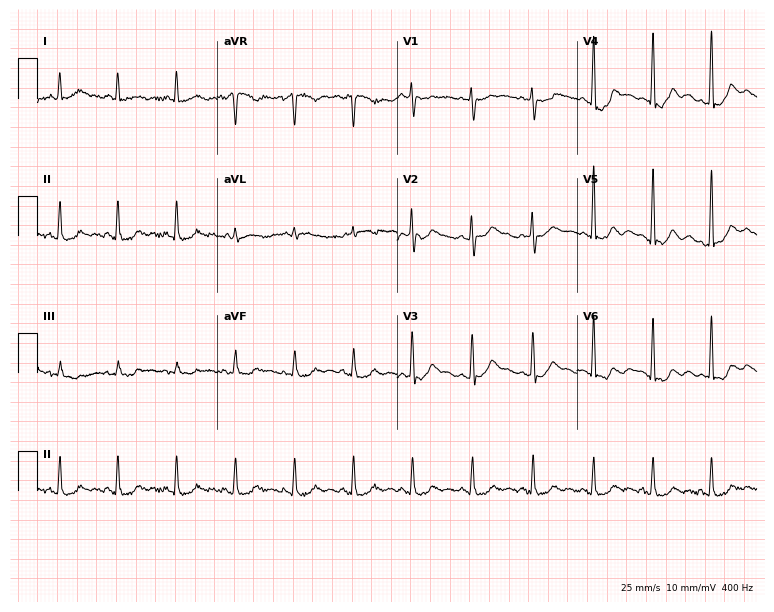
Standard 12-lead ECG recorded from a female, 63 years old (7.3-second recording at 400 Hz). Read as a normal ECG.